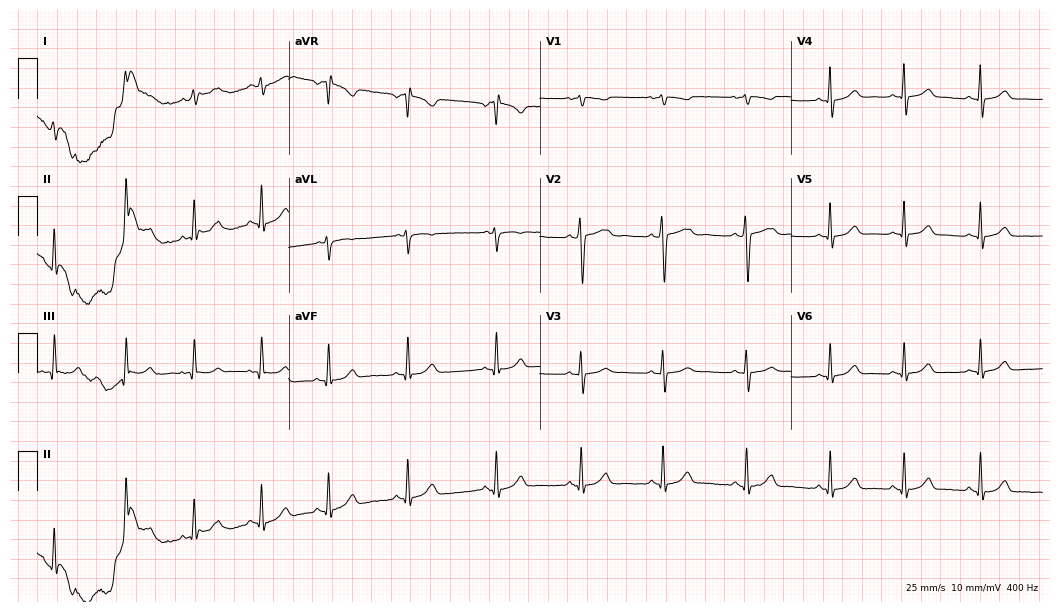
12-lead ECG (10.2-second recording at 400 Hz) from a woman, 28 years old. Labelled as a normal ECG.